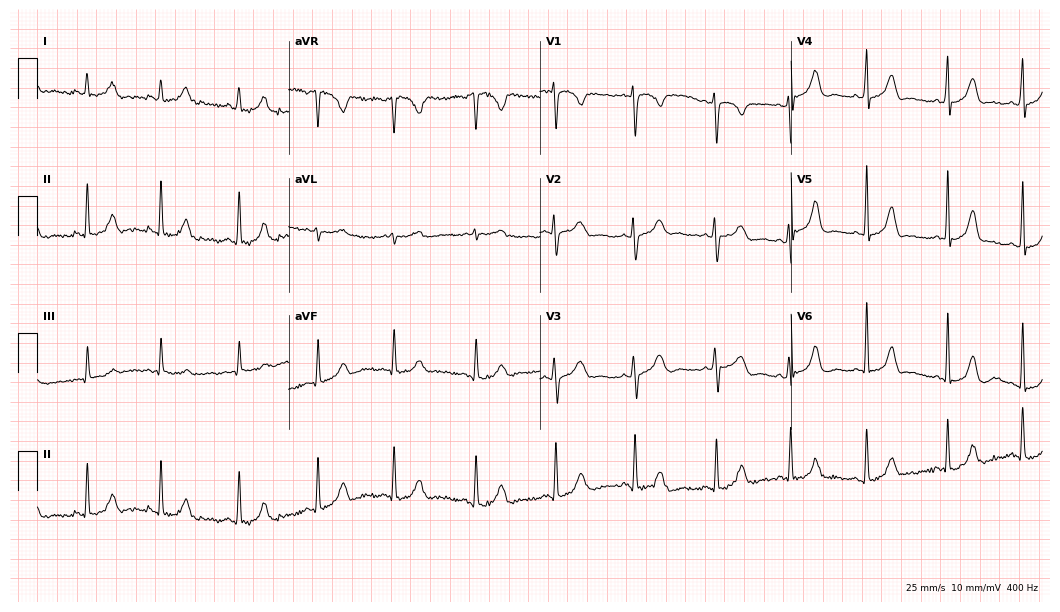
ECG (10.2-second recording at 400 Hz) — a 25-year-old female. Screened for six findings — first-degree AV block, right bundle branch block (RBBB), left bundle branch block (LBBB), sinus bradycardia, atrial fibrillation (AF), sinus tachycardia — none is recorded.